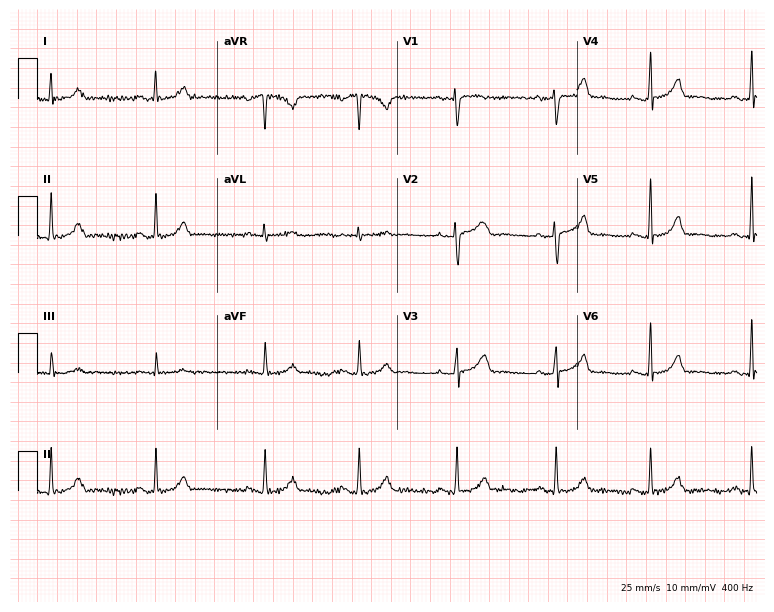
Resting 12-lead electrocardiogram. Patient: a female, 27 years old. None of these six findings is recorded: first-degree AV block, right bundle branch block (RBBB), left bundle branch block (LBBB), sinus bradycardia, atrial fibrillation (AF), sinus tachycardia.